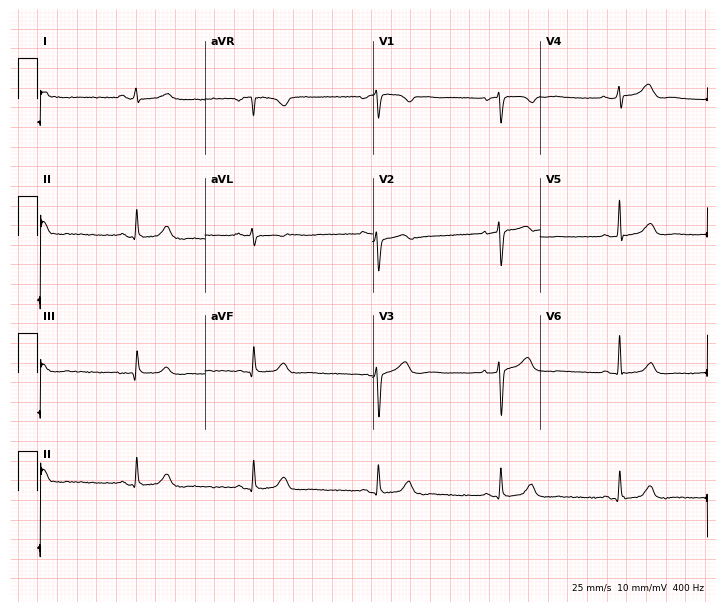
Resting 12-lead electrocardiogram. Patient: a 44-year-old female. None of these six findings is recorded: first-degree AV block, right bundle branch block, left bundle branch block, sinus bradycardia, atrial fibrillation, sinus tachycardia.